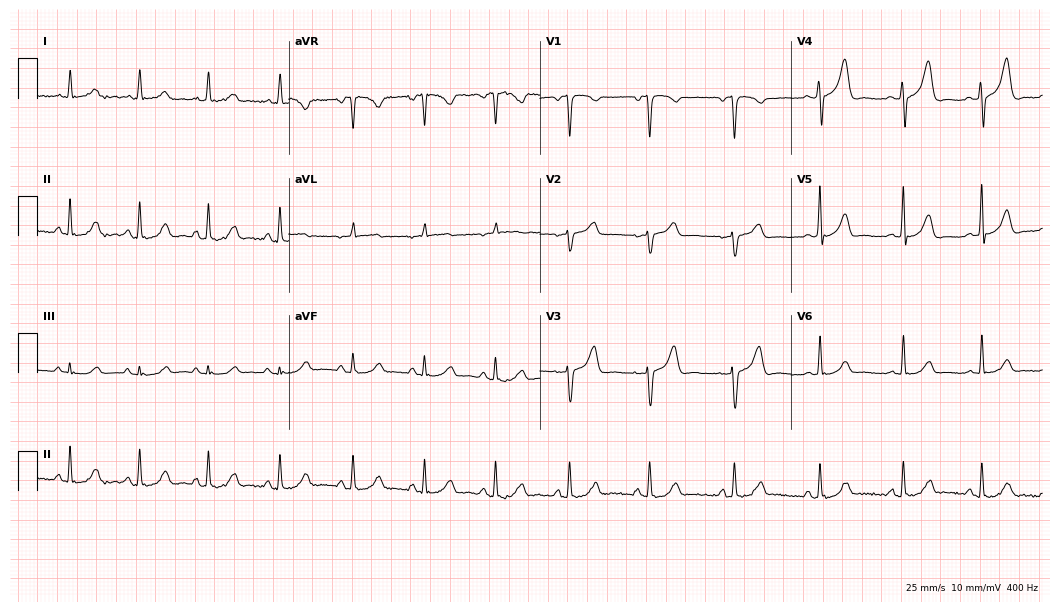
ECG — a 45-year-old woman. Screened for six findings — first-degree AV block, right bundle branch block, left bundle branch block, sinus bradycardia, atrial fibrillation, sinus tachycardia — none is recorded. Findings outside these six are not listed.